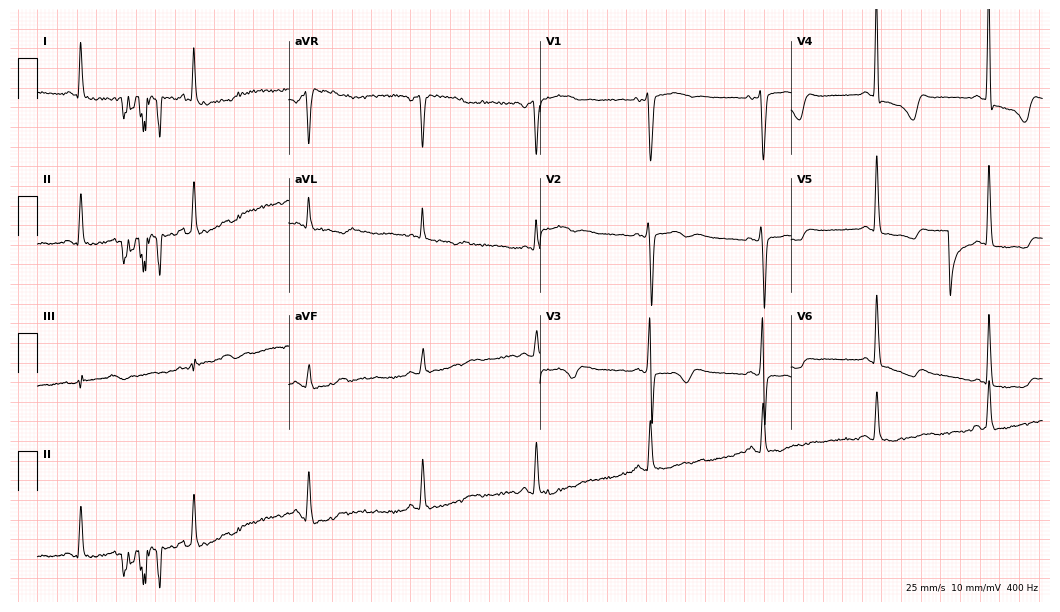
Standard 12-lead ECG recorded from a woman, 49 years old. None of these six findings is recorded: first-degree AV block, right bundle branch block (RBBB), left bundle branch block (LBBB), sinus bradycardia, atrial fibrillation (AF), sinus tachycardia. Findings outside these six are not listed.